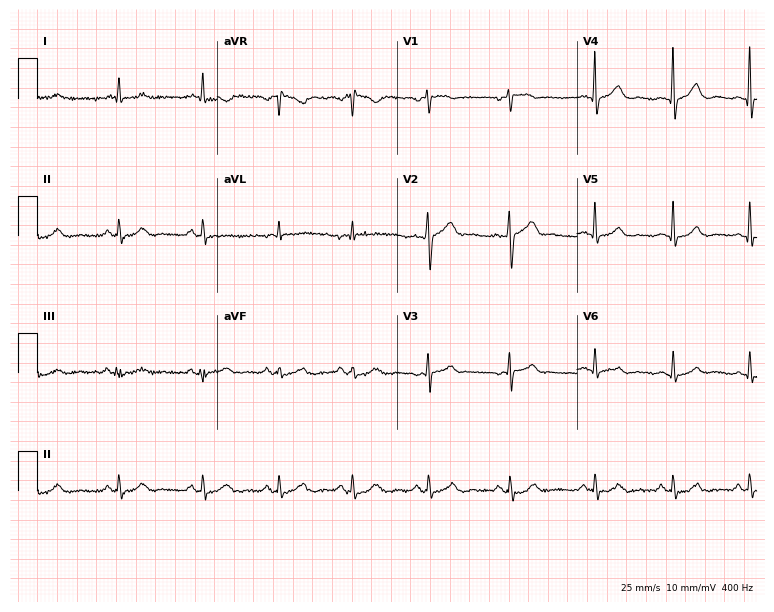
12-lead ECG from a male patient, 52 years old. Labelled as a normal ECG.